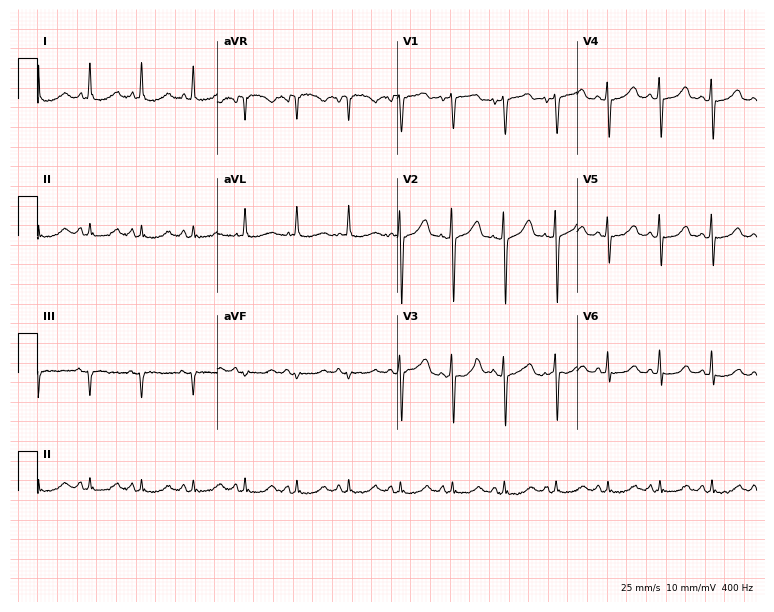
Standard 12-lead ECG recorded from a 59-year-old female patient (7.3-second recording at 400 Hz). The tracing shows sinus tachycardia (a sinus rate of 100 beats per minute or more).